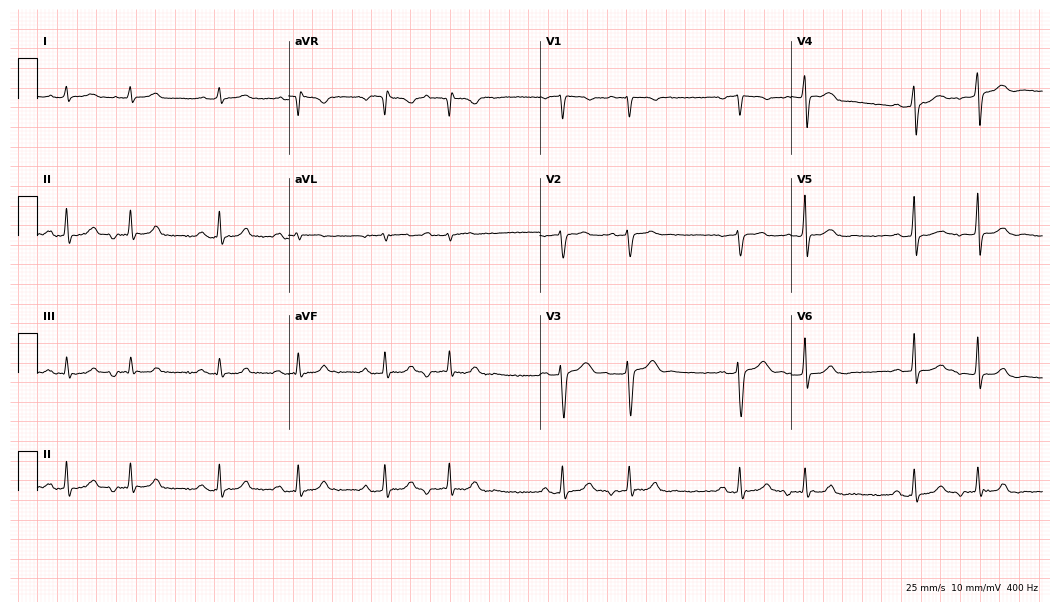
12-lead ECG from a female patient, 47 years old. No first-degree AV block, right bundle branch block (RBBB), left bundle branch block (LBBB), sinus bradycardia, atrial fibrillation (AF) or sinus tachycardia recorded for this tracing.